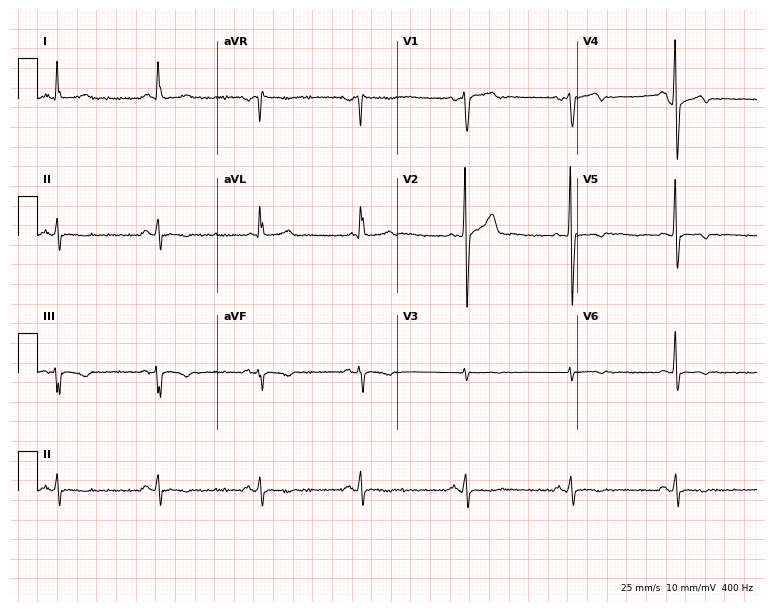
Standard 12-lead ECG recorded from a male, 51 years old. None of these six findings is recorded: first-degree AV block, right bundle branch block, left bundle branch block, sinus bradycardia, atrial fibrillation, sinus tachycardia.